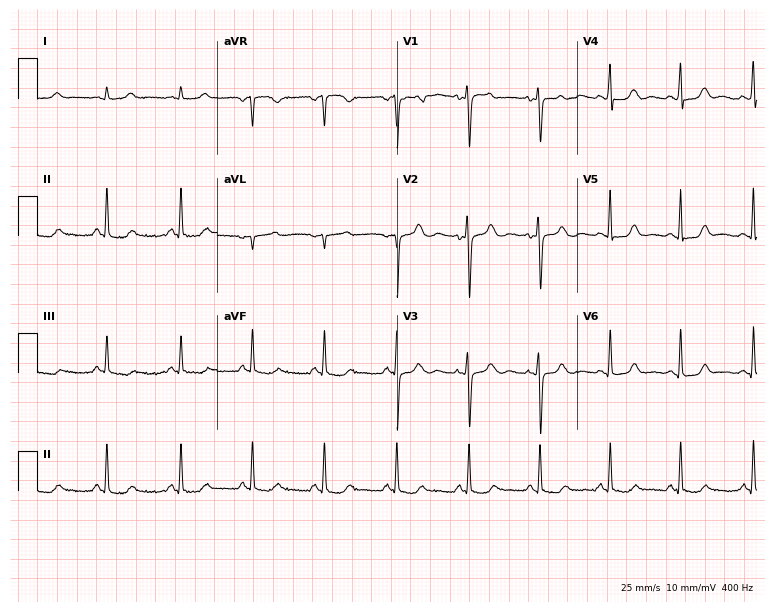
Electrocardiogram (7.3-second recording at 400 Hz), a woman, 43 years old. Overall reading on record: normal ECG.